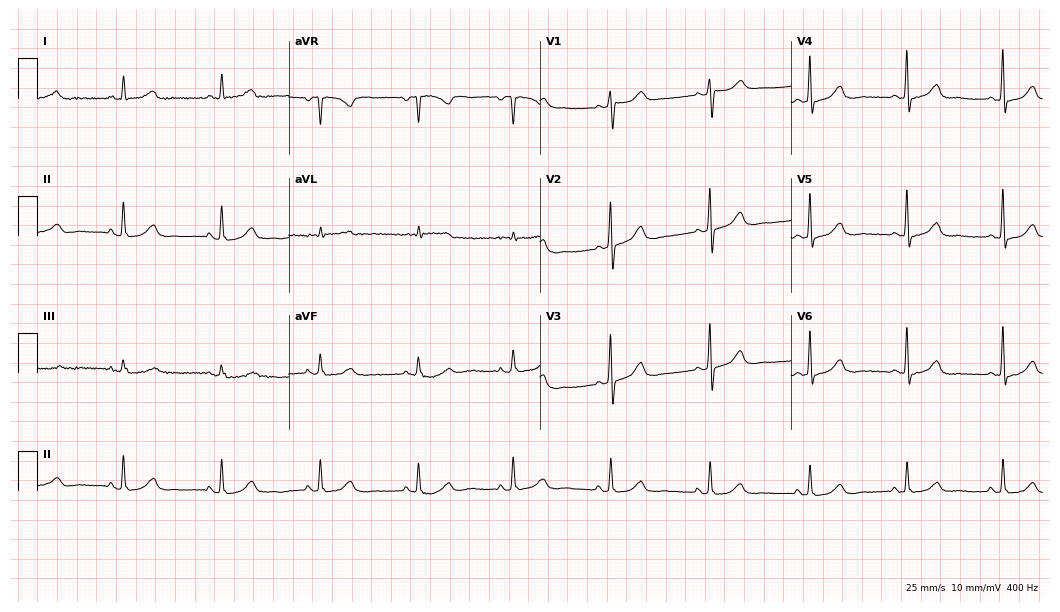
12-lead ECG from a woman, 66 years old. No first-degree AV block, right bundle branch block, left bundle branch block, sinus bradycardia, atrial fibrillation or sinus tachycardia recorded for this tracing. Only these six findings were labelled.